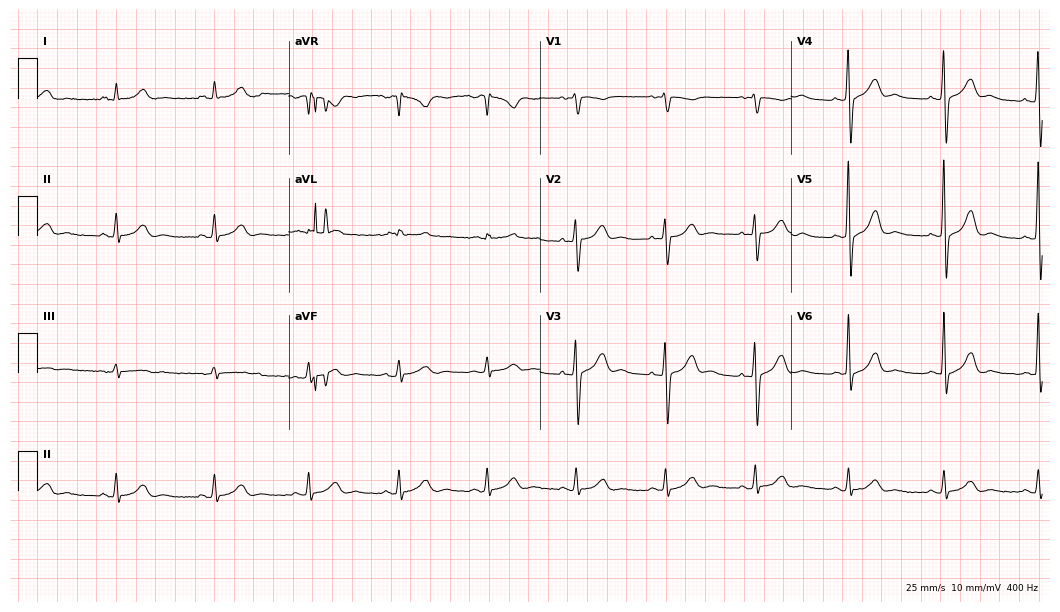
Resting 12-lead electrocardiogram (10.2-second recording at 400 Hz). Patient: a 34-year-old male. Read as a normal ECG.